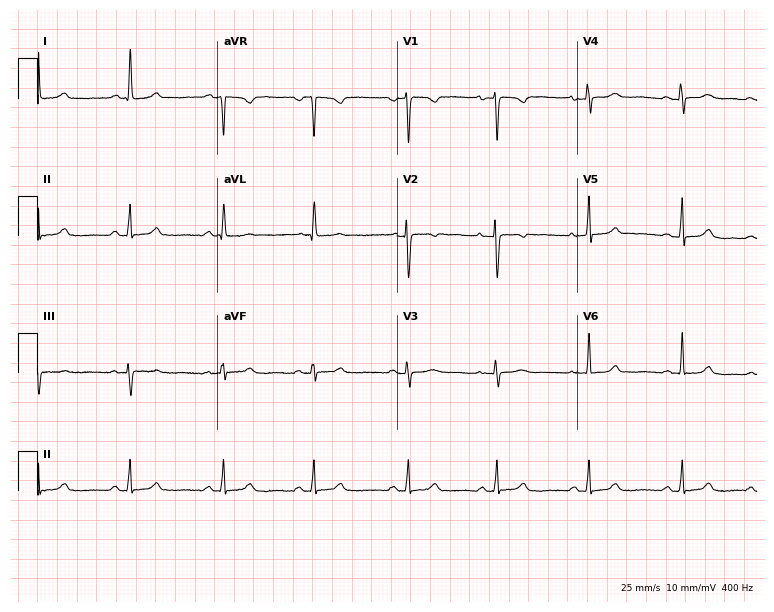
12-lead ECG from a woman, 34 years old (7.3-second recording at 400 Hz). Recorded interpretation: within normal limits.